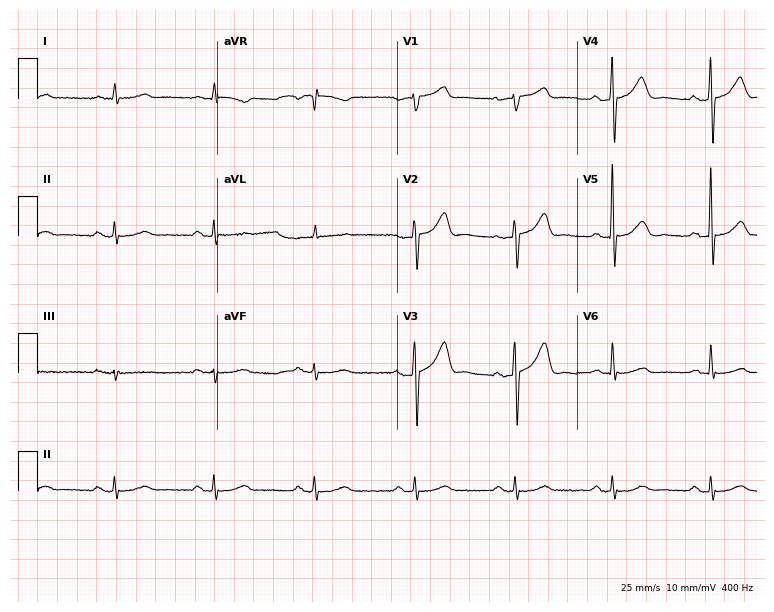
ECG — a 75-year-old male patient. Screened for six findings — first-degree AV block, right bundle branch block, left bundle branch block, sinus bradycardia, atrial fibrillation, sinus tachycardia — none is recorded.